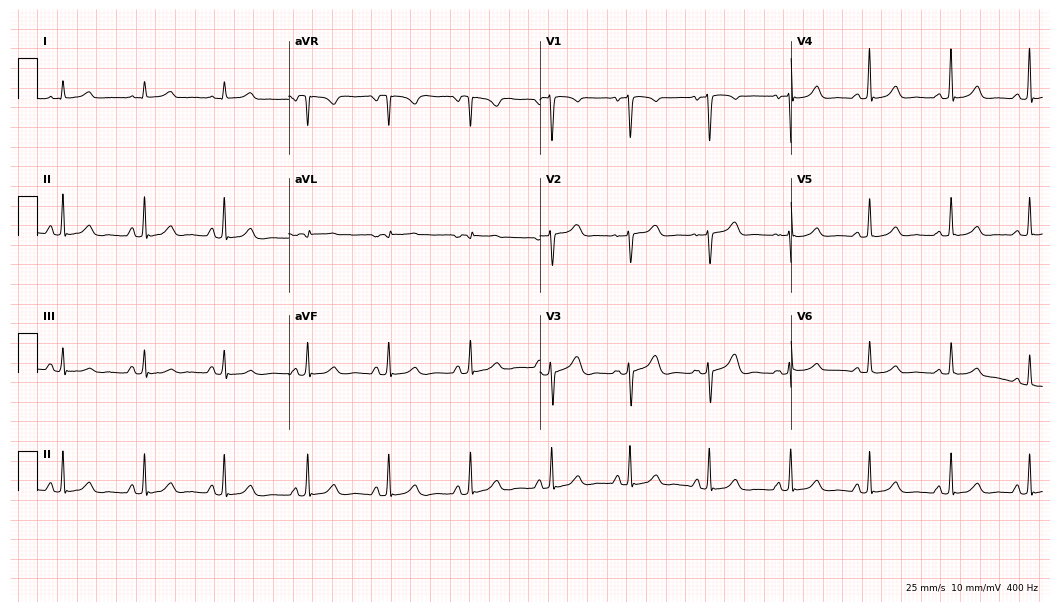
12-lead ECG from a 45-year-old female (10.2-second recording at 400 Hz). Recorded interpretation: within normal limits.